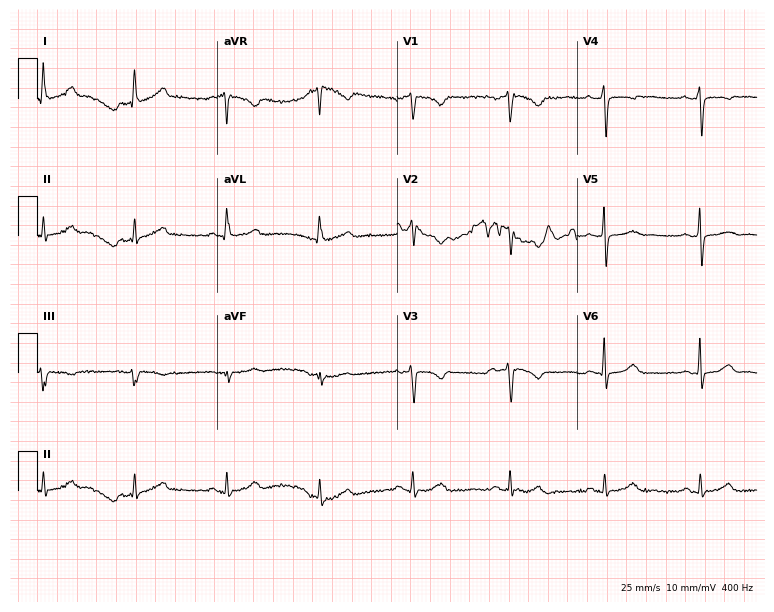
12-lead ECG from a 55-year-old woman. Screened for six findings — first-degree AV block, right bundle branch block, left bundle branch block, sinus bradycardia, atrial fibrillation, sinus tachycardia — none is recorded.